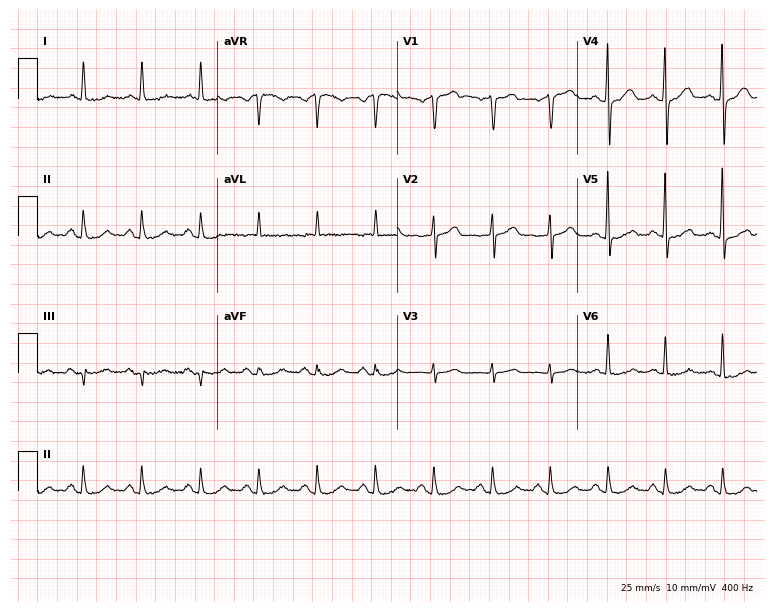
12-lead ECG from a man, 79 years old. Findings include sinus tachycardia (a sinus rate of 100 beats per minute or more).